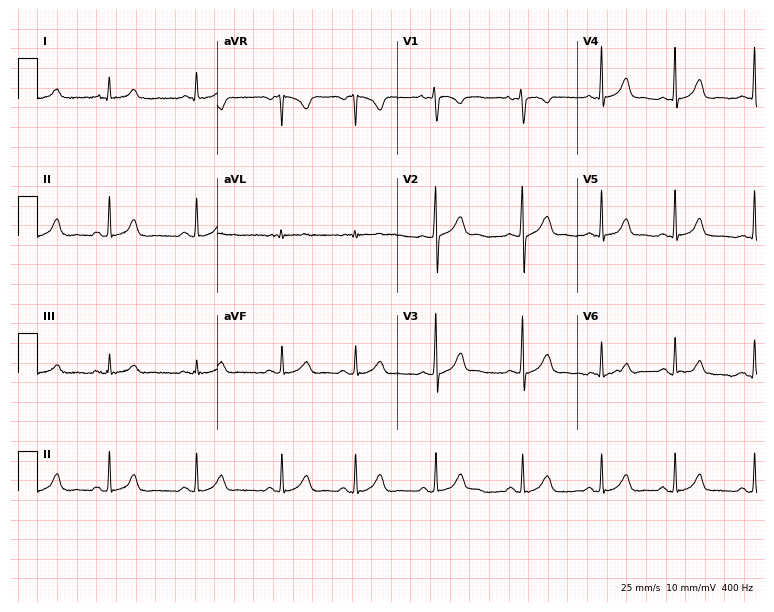
12-lead ECG from a 23-year-old female patient (7.3-second recording at 400 Hz). Recorded interpretation: within normal limits.